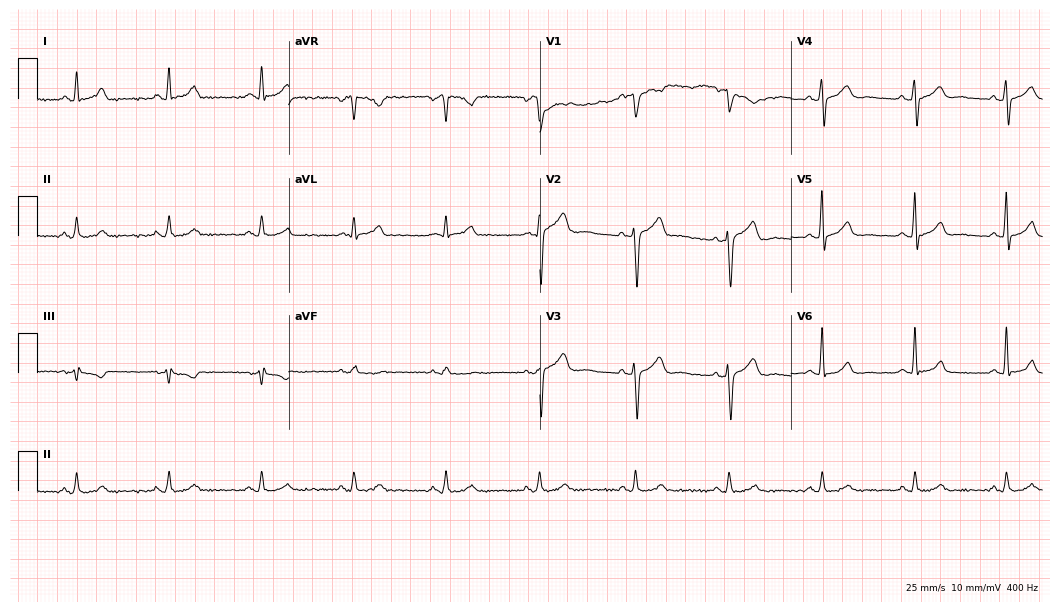
12-lead ECG (10.2-second recording at 400 Hz) from a 47-year-old male. Labelled as a normal ECG.